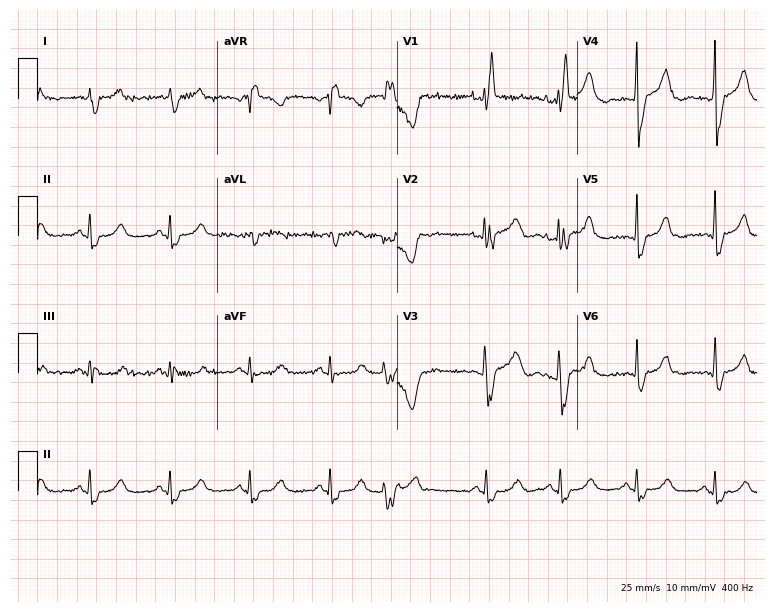
Resting 12-lead electrocardiogram. Patient: a man, 44 years old. The tracing shows right bundle branch block.